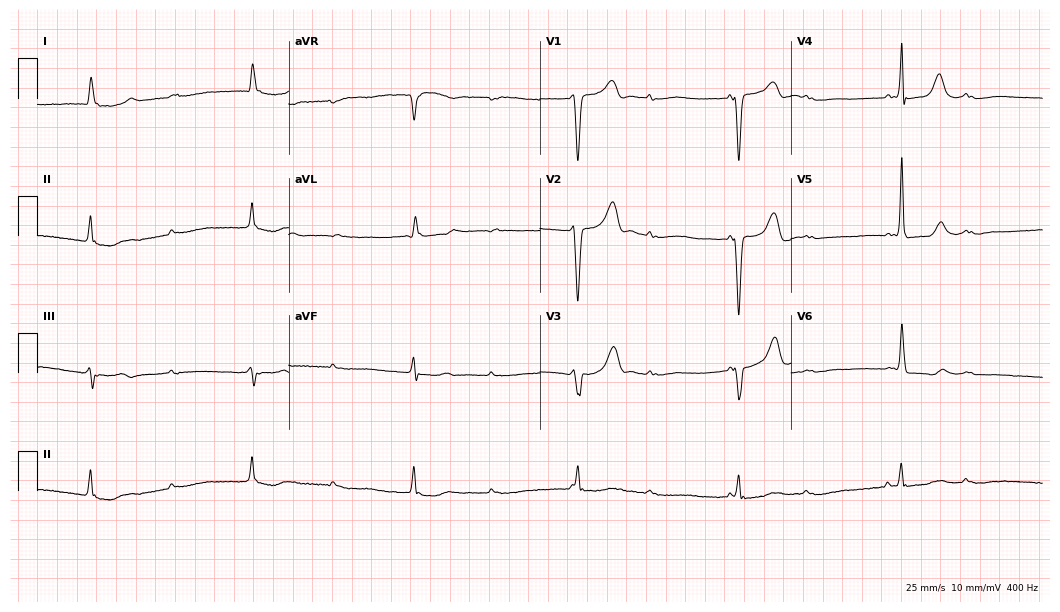
12-lead ECG (10.2-second recording at 400 Hz) from a 68-year-old woman. Screened for six findings — first-degree AV block, right bundle branch block (RBBB), left bundle branch block (LBBB), sinus bradycardia, atrial fibrillation (AF), sinus tachycardia — none is recorded.